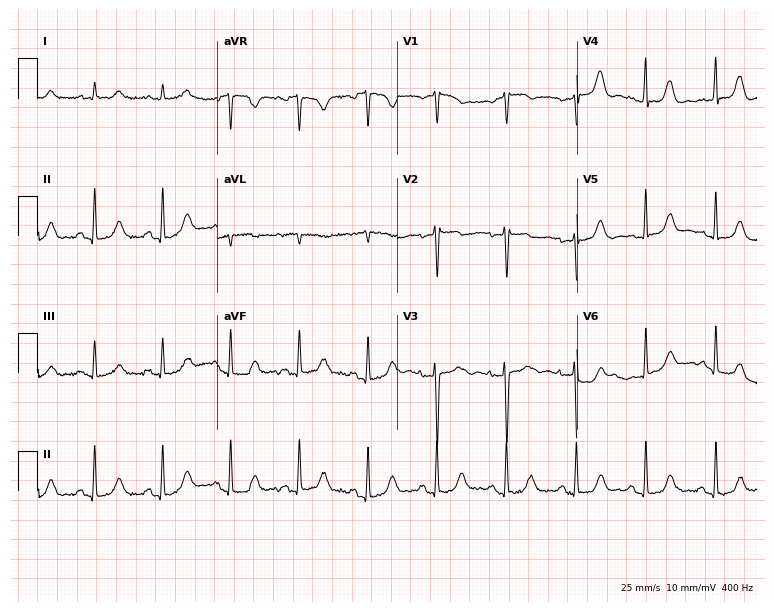
Electrocardiogram, a 73-year-old female patient. Of the six screened findings (first-degree AV block, right bundle branch block (RBBB), left bundle branch block (LBBB), sinus bradycardia, atrial fibrillation (AF), sinus tachycardia), none is recorded.